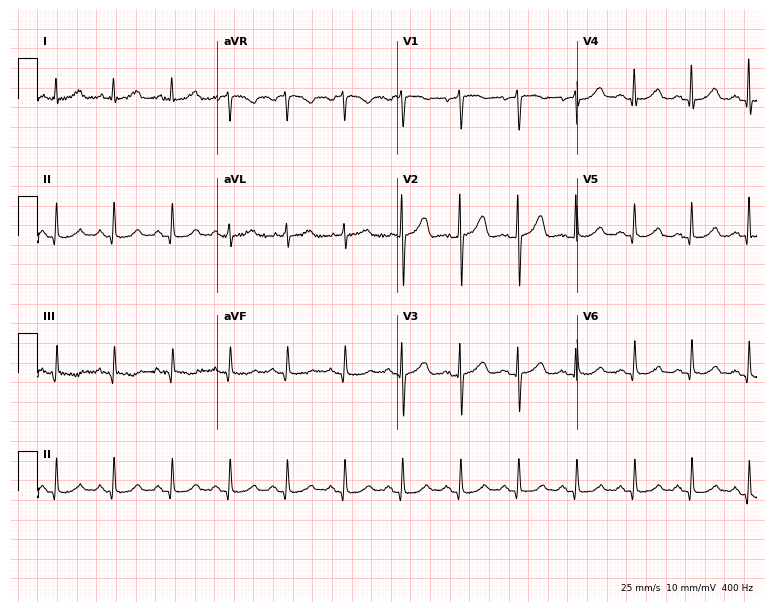
12-lead ECG from an 80-year-old female patient. Shows sinus tachycardia (a sinus rate of 100 beats per minute or more).